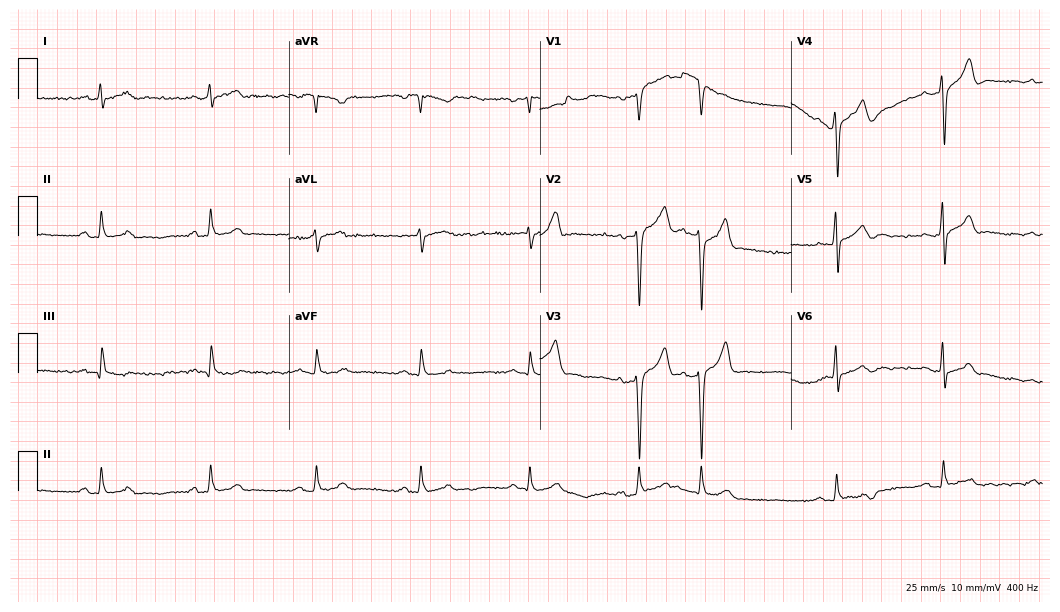
Electrocardiogram, a man, 62 years old. Overall reading on record: normal ECG.